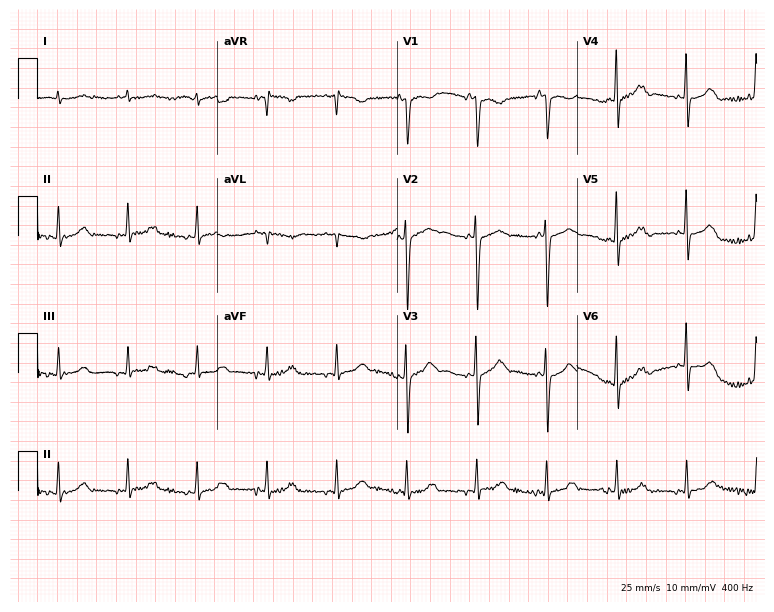
12-lead ECG from a male patient, 57 years old (7.3-second recording at 400 Hz). No first-degree AV block, right bundle branch block (RBBB), left bundle branch block (LBBB), sinus bradycardia, atrial fibrillation (AF) or sinus tachycardia recorded for this tracing.